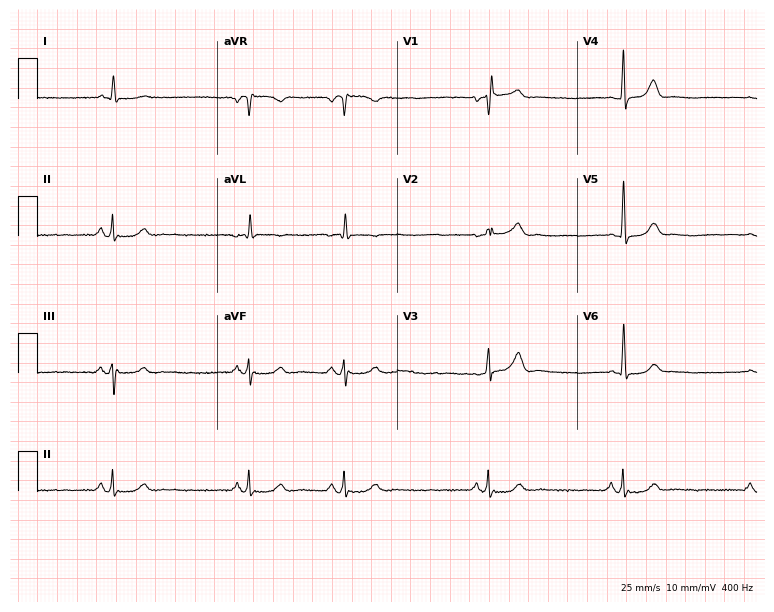
12-lead ECG from an 84-year-old male. Shows sinus bradycardia (a sinus rate of 50 beats per minute or less).